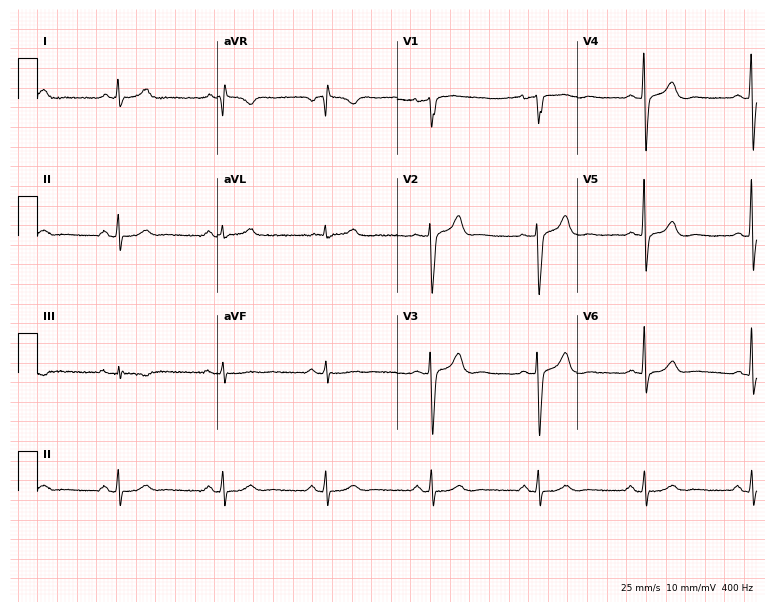
ECG (7.3-second recording at 400 Hz) — a 48-year-old man. Labelled as a normal ECG.